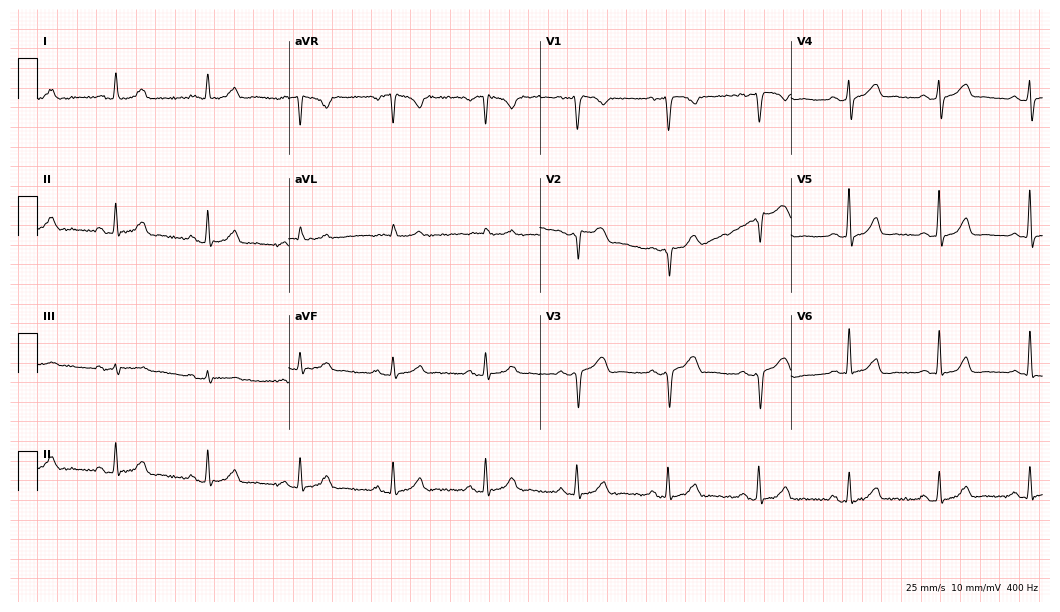
Electrocardiogram, a 63-year-old female patient. Of the six screened findings (first-degree AV block, right bundle branch block (RBBB), left bundle branch block (LBBB), sinus bradycardia, atrial fibrillation (AF), sinus tachycardia), none is recorded. Other findings, if any, are not listed.